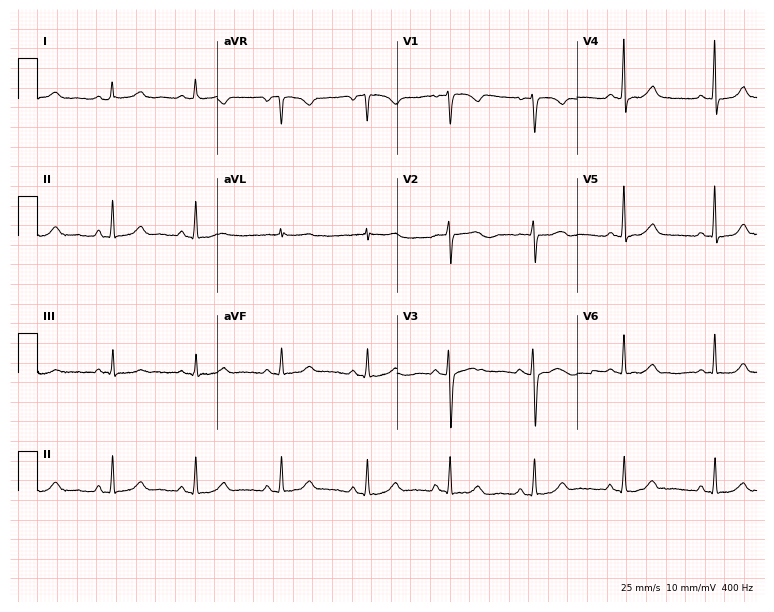
12-lead ECG from a 44-year-old woman. No first-degree AV block, right bundle branch block, left bundle branch block, sinus bradycardia, atrial fibrillation or sinus tachycardia recorded for this tracing.